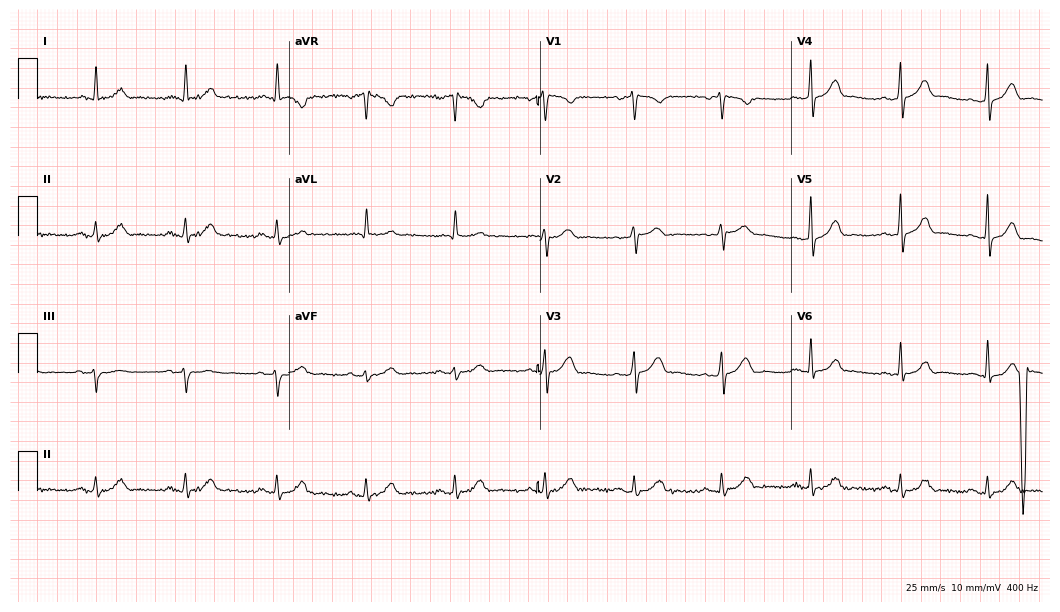
Resting 12-lead electrocardiogram. Patient: a male, 54 years old. The tracing shows first-degree AV block.